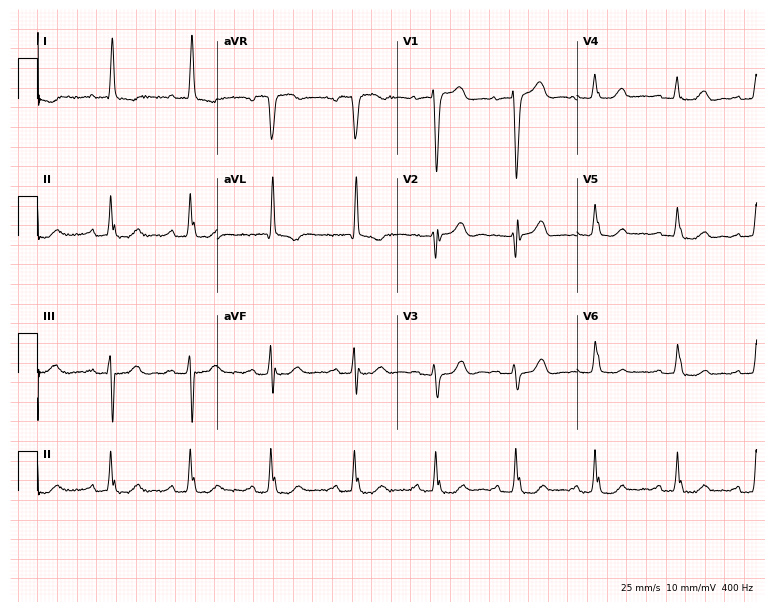
12-lead ECG from a 73-year-old female patient. Findings include first-degree AV block.